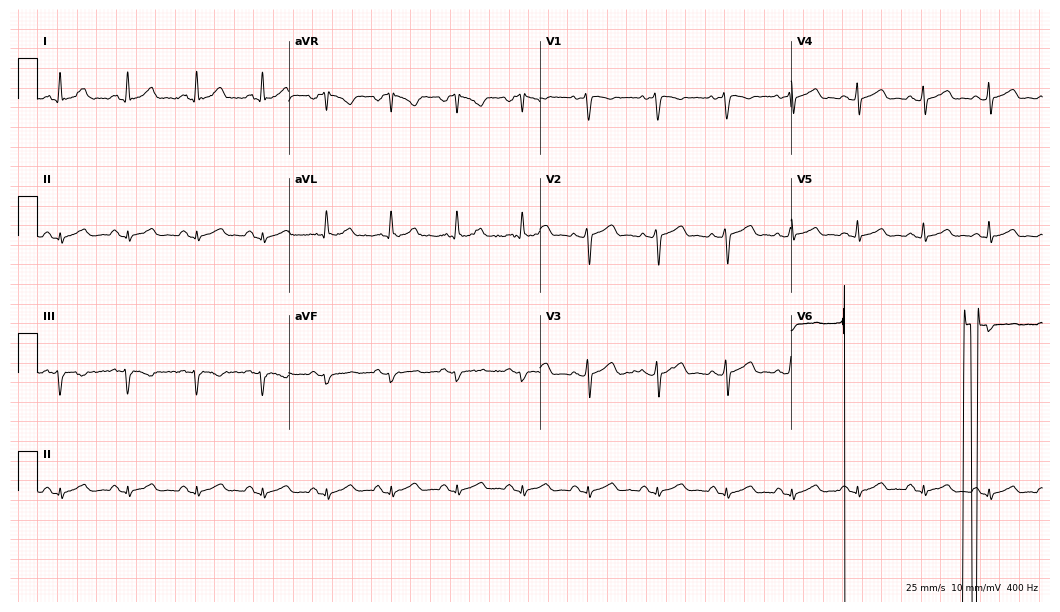
Standard 12-lead ECG recorded from a woman, 35 years old. None of these six findings is recorded: first-degree AV block, right bundle branch block (RBBB), left bundle branch block (LBBB), sinus bradycardia, atrial fibrillation (AF), sinus tachycardia. Findings outside these six are not listed.